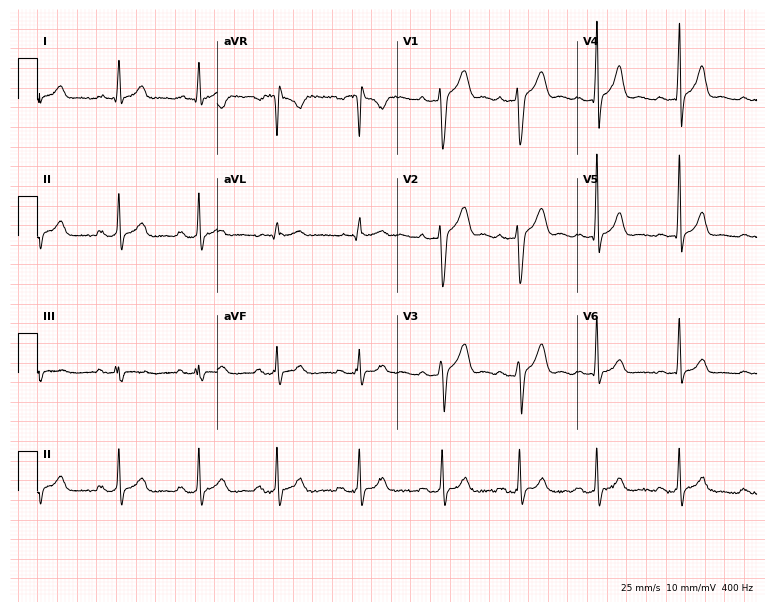
Standard 12-lead ECG recorded from a male patient, 31 years old (7.3-second recording at 400 Hz). None of these six findings is recorded: first-degree AV block, right bundle branch block, left bundle branch block, sinus bradycardia, atrial fibrillation, sinus tachycardia. Findings outside these six are not listed.